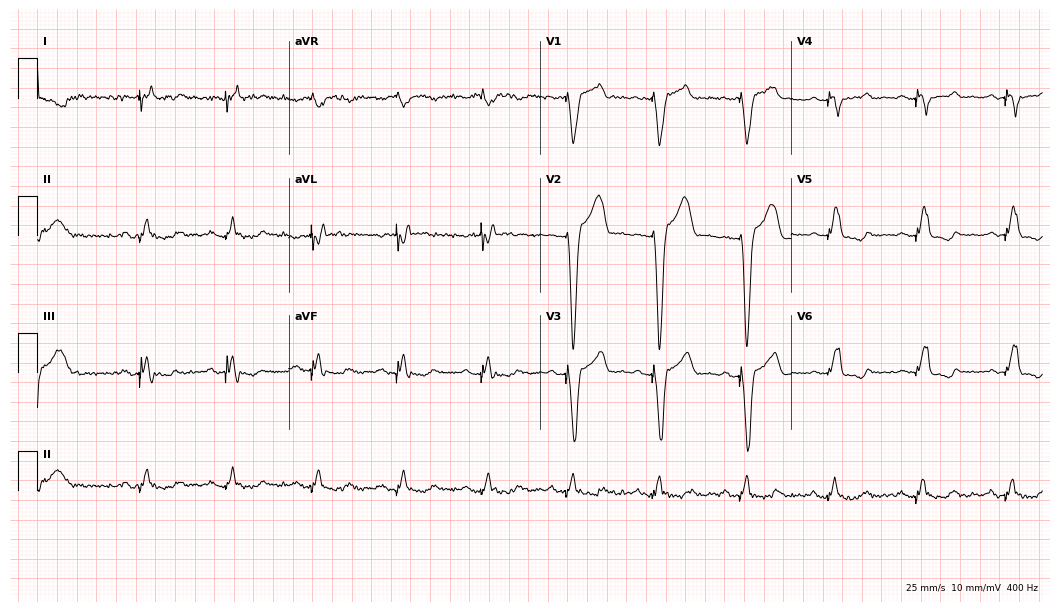
Standard 12-lead ECG recorded from a man, 84 years old. None of these six findings is recorded: first-degree AV block, right bundle branch block (RBBB), left bundle branch block (LBBB), sinus bradycardia, atrial fibrillation (AF), sinus tachycardia. Other findings, if any, are not listed.